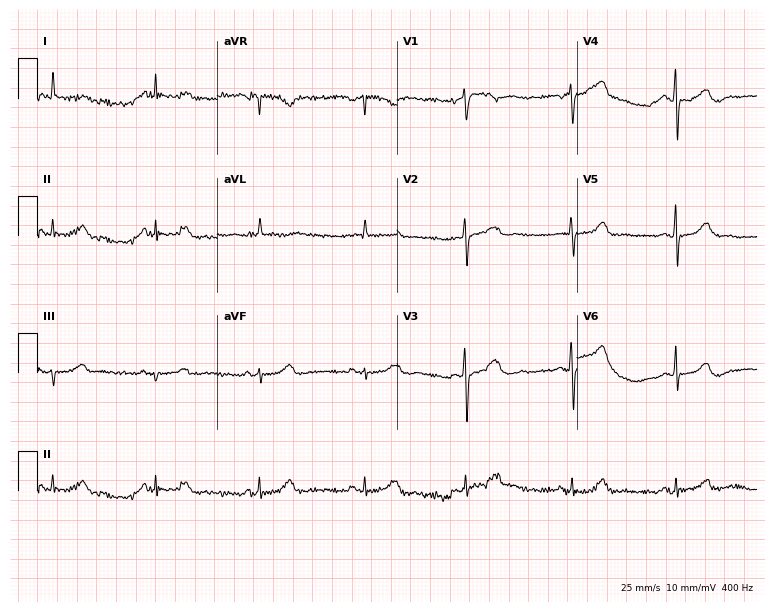
Electrocardiogram, a female, 80 years old. Of the six screened findings (first-degree AV block, right bundle branch block, left bundle branch block, sinus bradycardia, atrial fibrillation, sinus tachycardia), none is recorded.